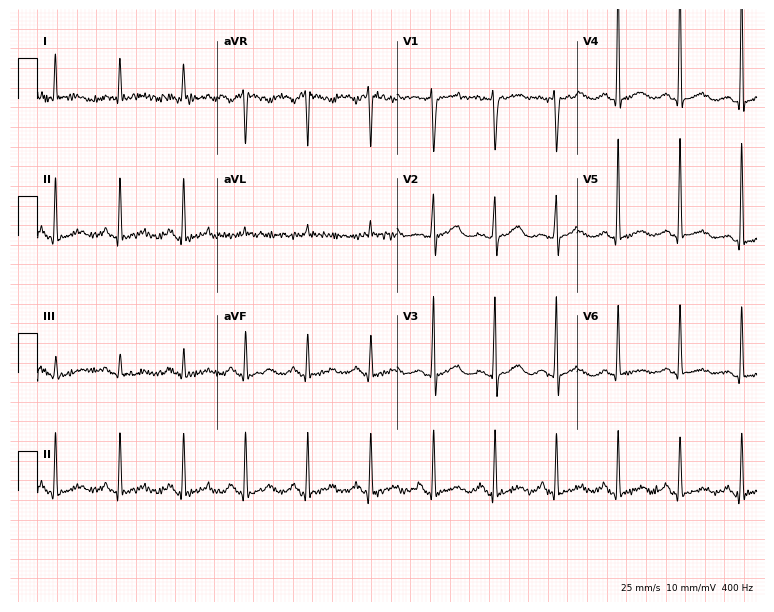
ECG — a 51-year-old female patient. Screened for six findings — first-degree AV block, right bundle branch block, left bundle branch block, sinus bradycardia, atrial fibrillation, sinus tachycardia — none is recorded. Only these six findings were labelled.